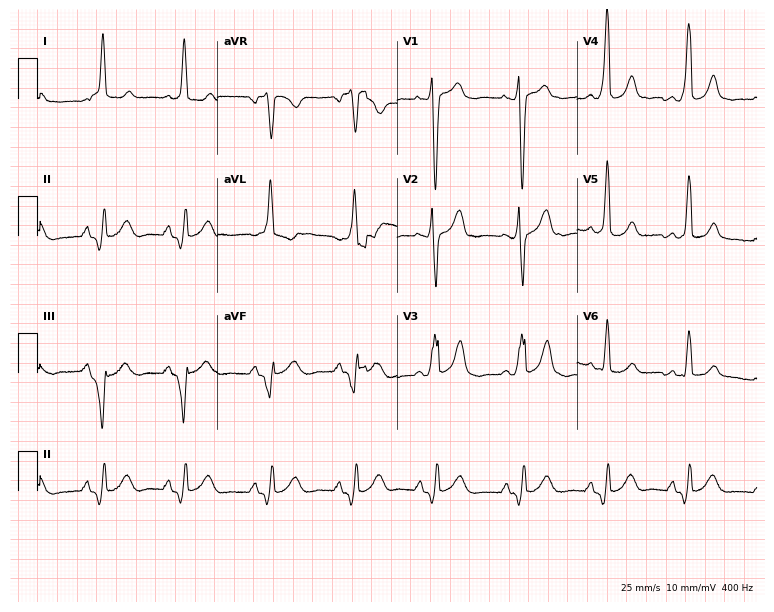
Standard 12-lead ECG recorded from a 51-year-old female patient. None of these six findings is recorded: first-degree AV block, right bundle branch block (RBBB), left bundle branch block (LBBB), sinus bradycardia, atrial fibrillation (AF), sinus tachycardia.